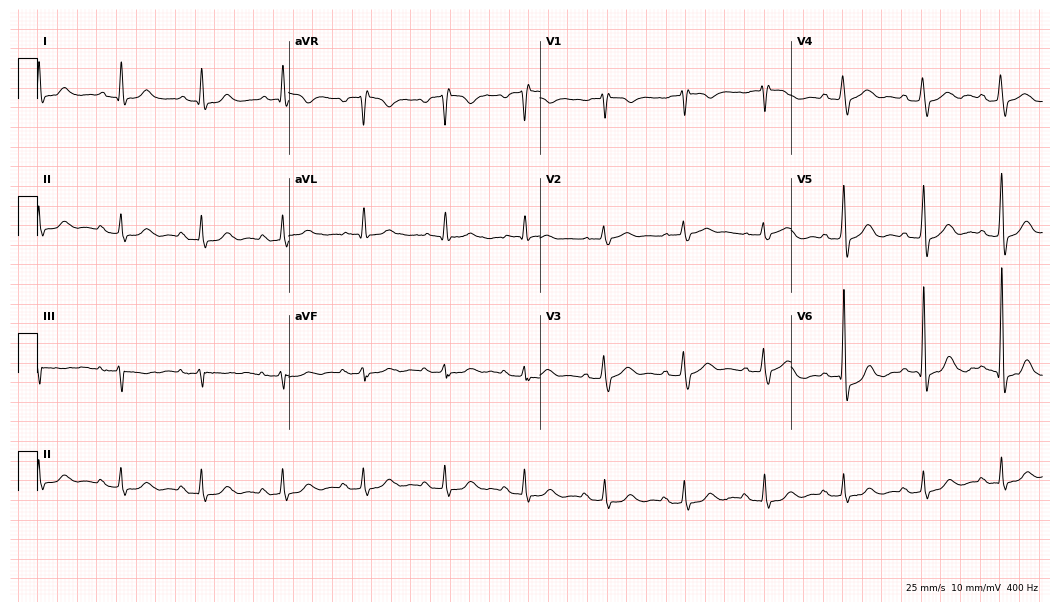
ECG (10.2-second recording at 400 Hz) — an 80-year-old male. Screened for six findings — first-degree AV block, right bundle branch block, left bundle branch block, sinus bradycardia, atrial fibrillation, sinus tachycardia — none is recorded.